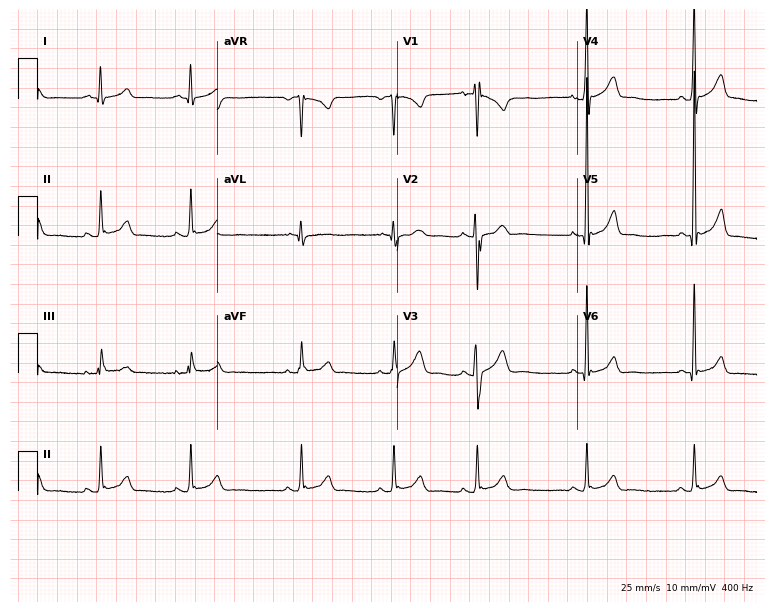
ECG (7.3-second recording at 400 Hz) — a 19-year-old man. Labelled as a normal ECG.